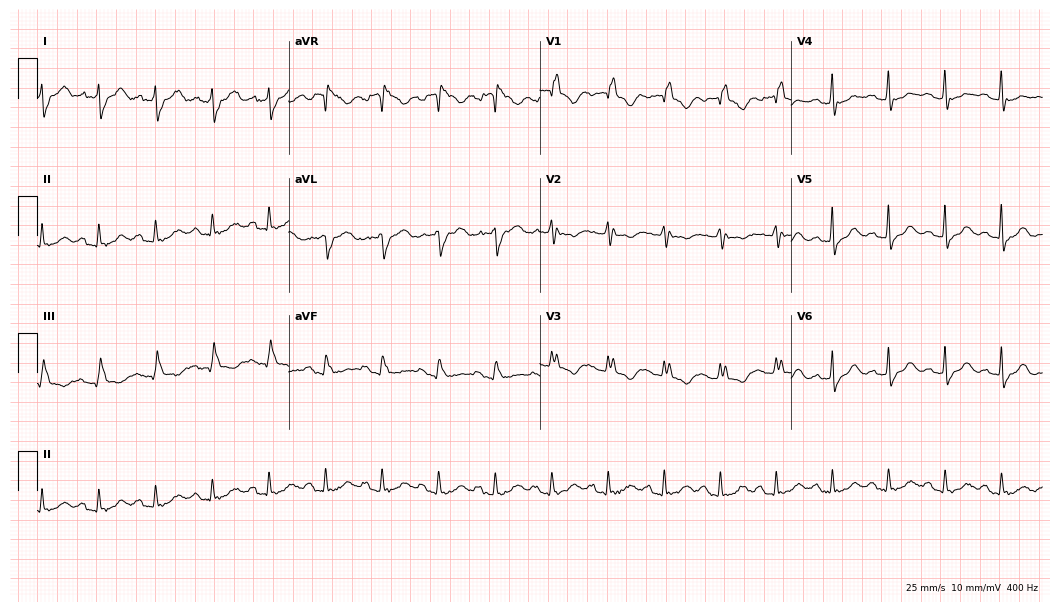
ECG (10.2-second recording at 400 Hz) — an 83-year-old female patient. Findings include right bundle branch block (RBBB).